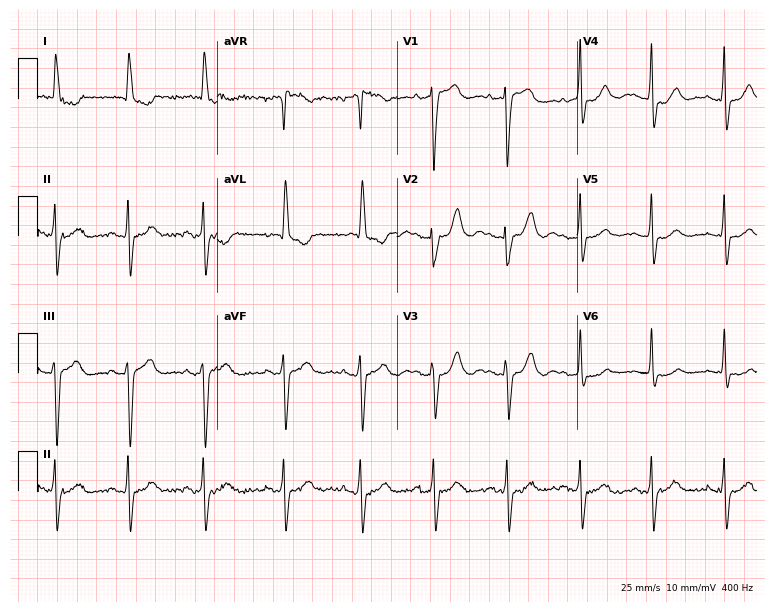
Resting 12-lead electrocardiogram (7.3-second recording at 400 Hz). Patient: an 85-year-old female. Read as a normal ECG.